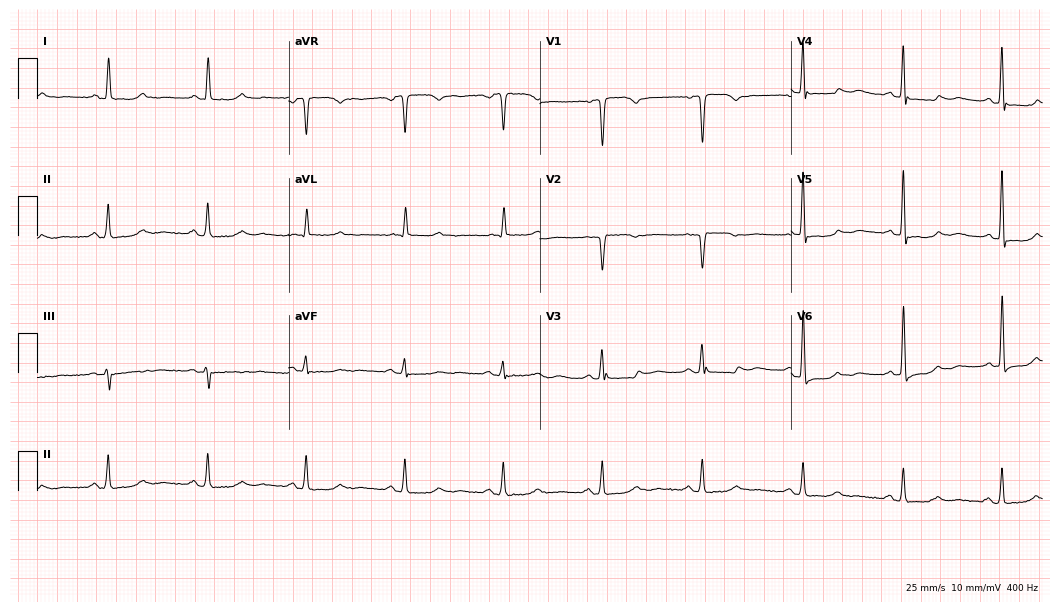
Standard 12-lead ECG recorded from a female patient, 67 years old. Read as a normal ECG.